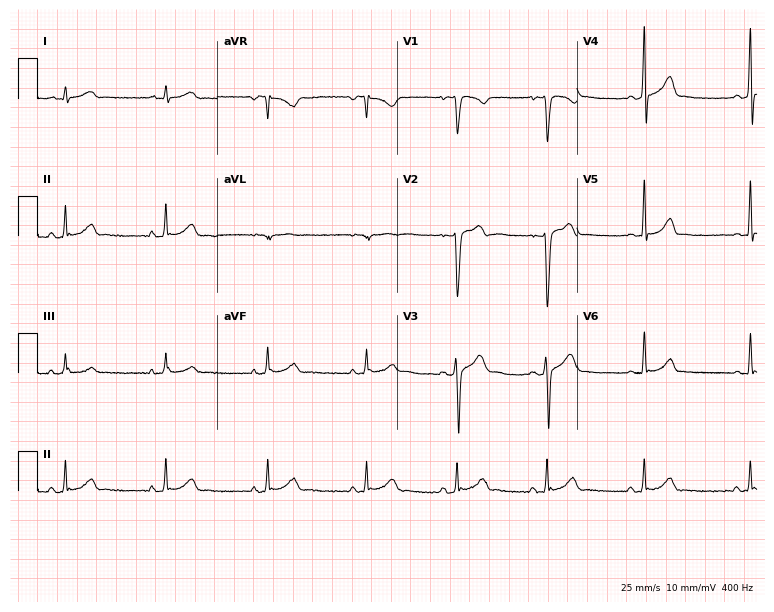
Electrocardiogram, a 19-year-old male. Overall reading on record: normal ECG.